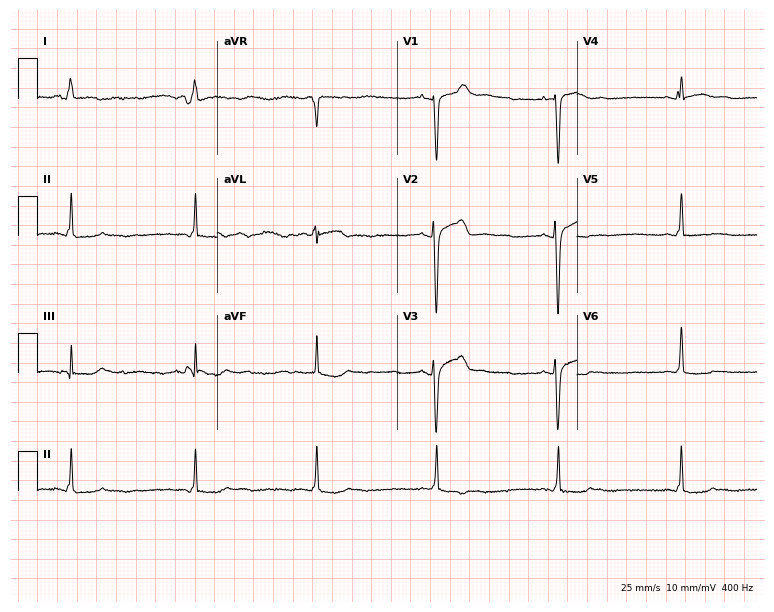
Electrocardiogram, a woman, 70 years old. Of the six screened findings (first-degree AV block, right bundle branch block, left bundle branch block, sinus bradycardia, atrial fibrillation, sinus tachycardia), none is recorded.